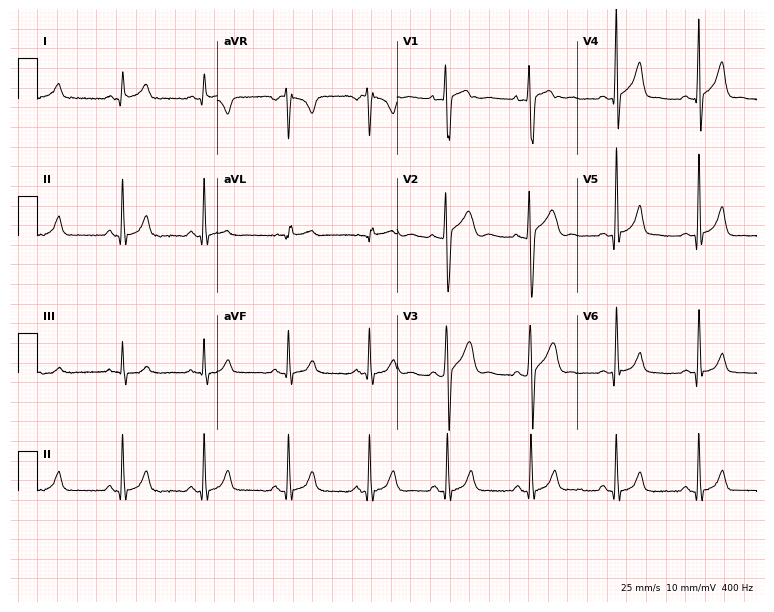
Electrocardiogram (7.3-second recording at 400 Hz), an 18-year-old male patient. Overall reading on record: normal ECG.